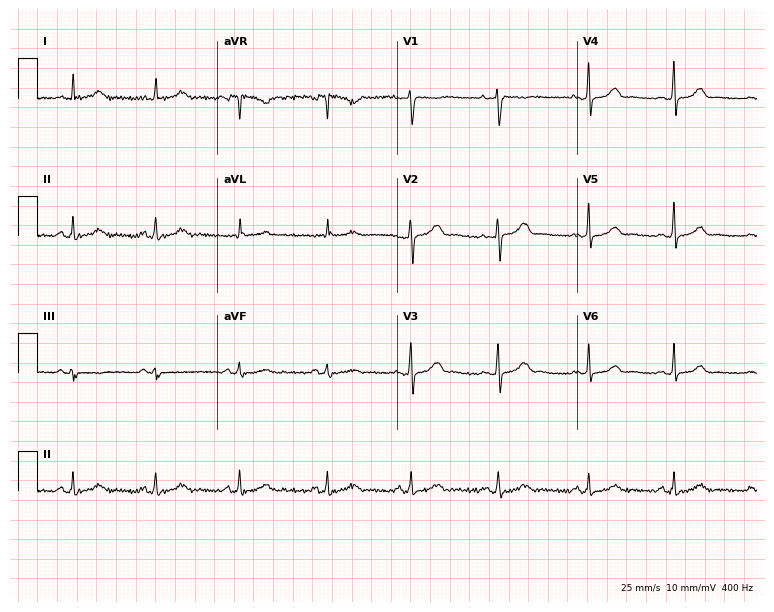
ECG — a 29-year-old female. Labelled as a normal ECG.